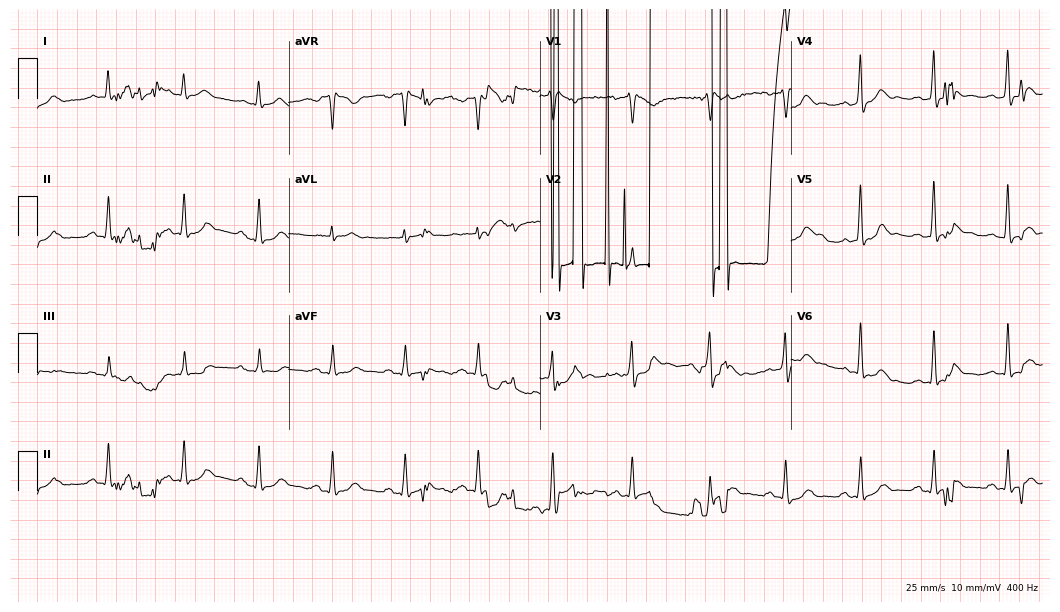
Electrocardiogram (10.2-second recording at 400 Hz), a male, 38 years old. Of the six screened findings (first-degree AV block, right bundle branch block, left bundle branch block, sinus bradycardia, atrial fibrillation, sinus tachycardia), none is recorded.